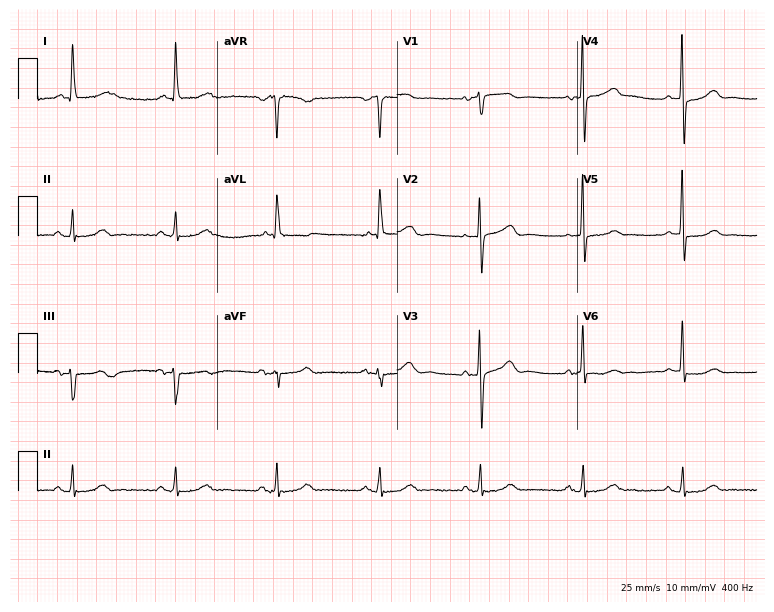
ECG — a woman, 80 years old. Screened for six findings — first-degree AV block, right bundle branch block, left bundle branch block, sinus bradycardia, atrial fibrillation, sinus tachycardia — none is recorded. Only these six findings were labelled.